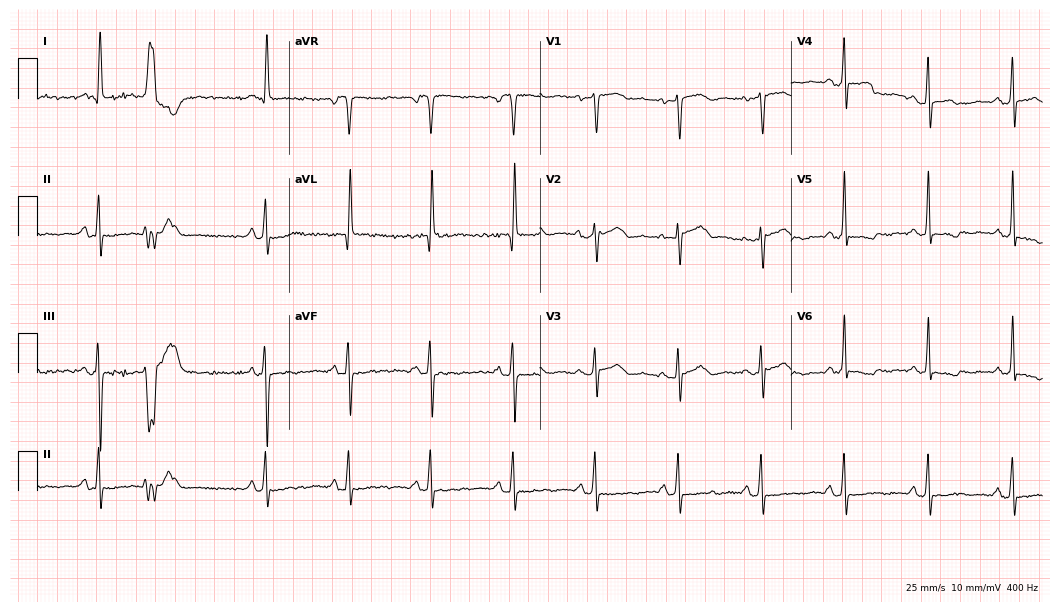
12-lead ECG from a woman, 79 years old. No first-degree AV block, right bundle branch block (RBBB), left bundle branch block (LBBB), sinus bradycardia, atrial fibrillation (AF) or sinus tachycardia recorded for this tracing. Findings outside these six are not listed.